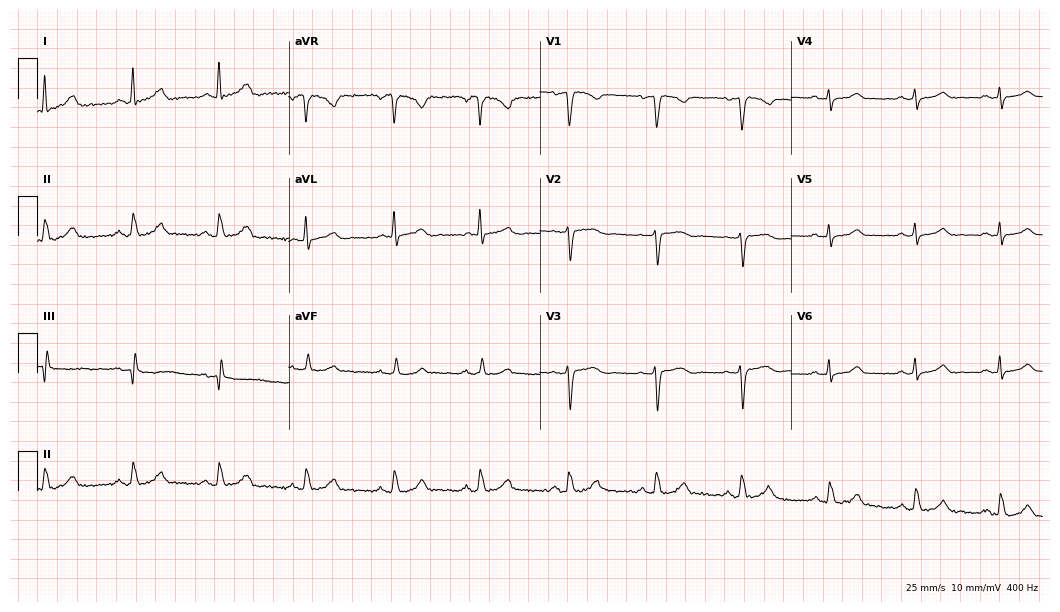
12-lead ECG from a 43-year-old woman. No first-degree AV block, right bundle branch block (RBBB), left bundle branch block (LBBB), sinus bradycardia, atrial fibrillation (AF) or sinus tachycardia recorded for this tracing.